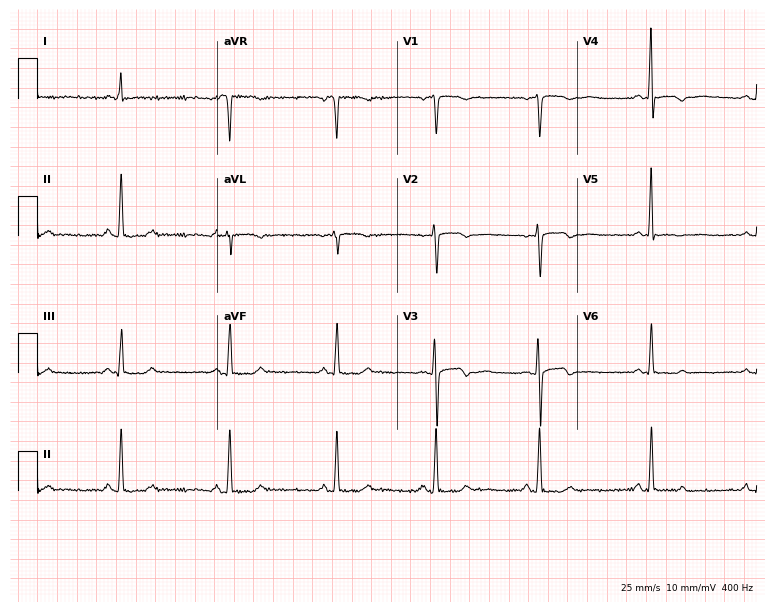
ECG (7.3-second recording at 400 Hz) — a 30-year-old female. Screened for six findings — first-degree AV block, right bundle branch block, left bundle branch block, sinus bradycardia, atrial fibrillation, sinus tachycardia — none is recorded.